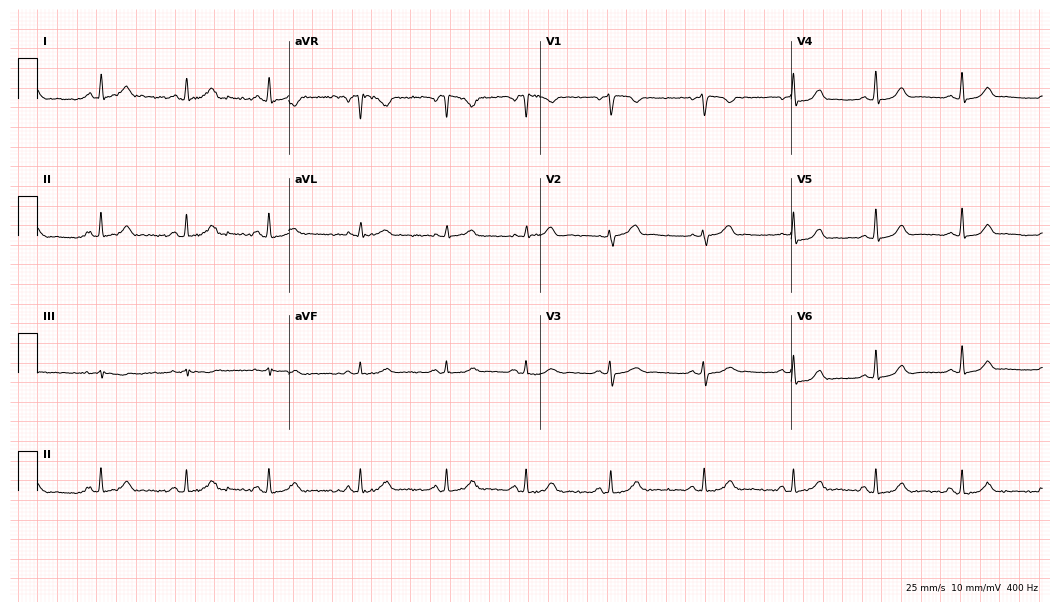
Standard 12-lead ECG recorded from a female, 24 years old. Read as a normal ECG.